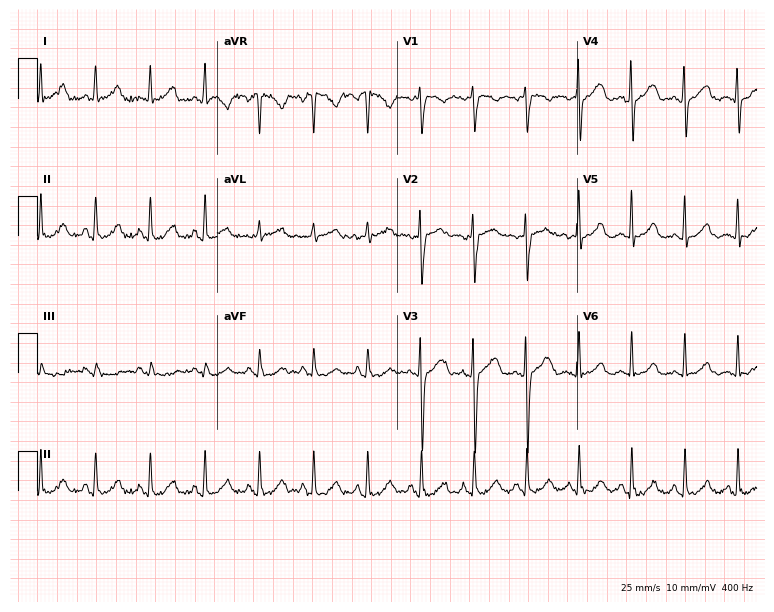
Standard 12-lead ECG recorded from a 28-year-old female patient (7.3-second recording at 400 Hz). The tracing shows sinus tachycardia (a sinus rate of 100 beats per minute or more).